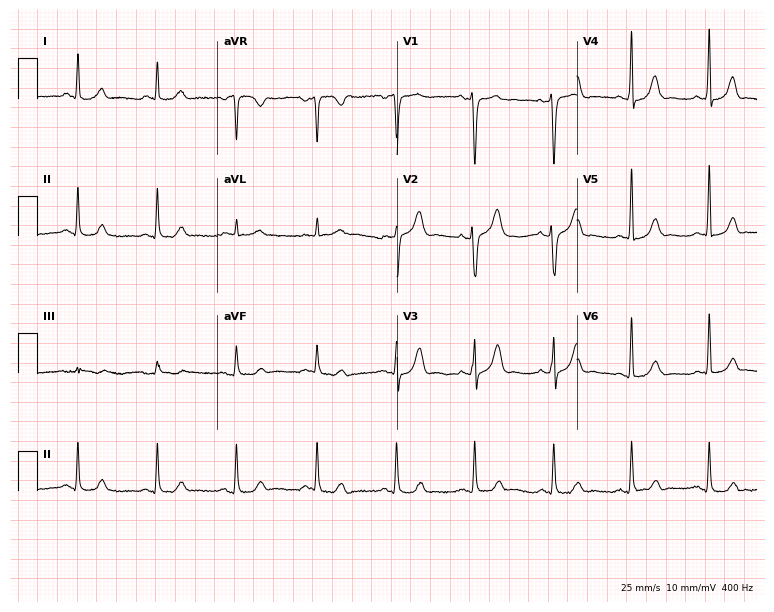
12-lead ECG from a female patient, 46 years old. Recorded interpretation: within normal limits.